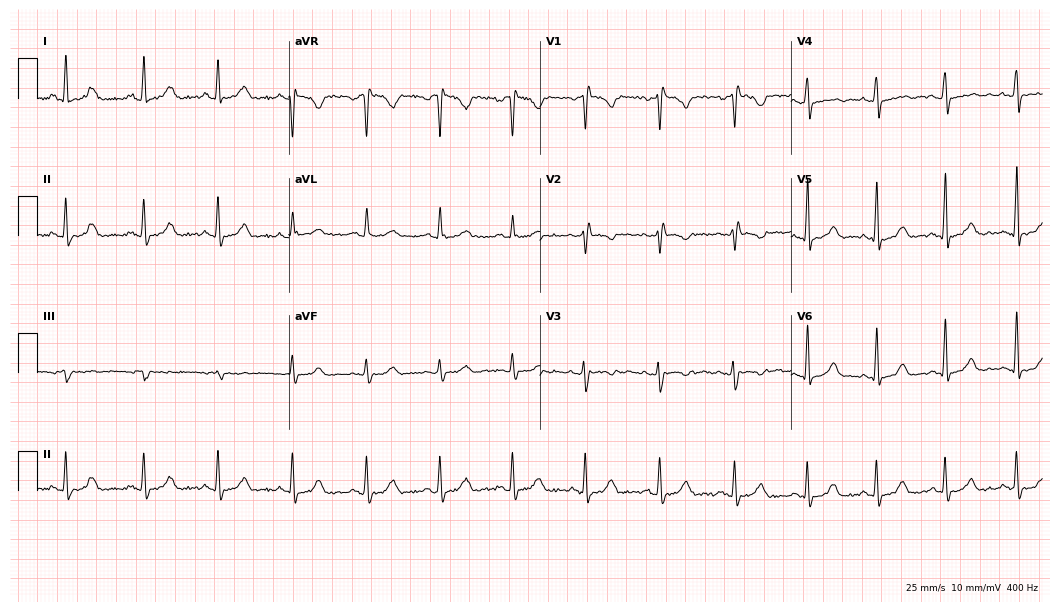
12-lead ECG from a 39-year-old female patient. Screened for six findings — first-degree AV block, right bundle branch block, left bundle branch block, sinus bradycardia, atrial fibrillation, sinus tachycardia — none is recorded. Findings outside these six are not listed.